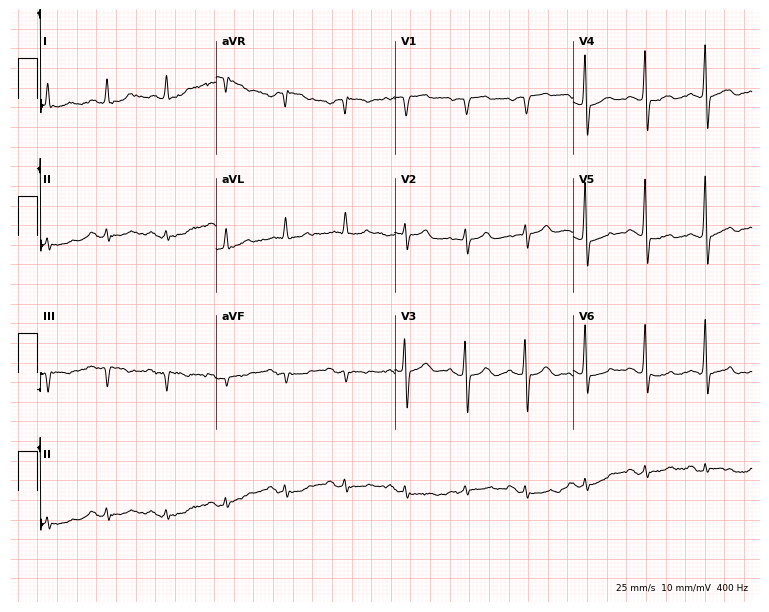
Electrocardiogram (7.3-second recording at 400 Hz), a male patient, 67 years old. Of the six screened findings (first-degree AV block, right bundle branch block, left bundle branch block, sinus bradycardia, atrial fibrillation, sinus tachycardia), none is recorded. Only these six findings were labelled.